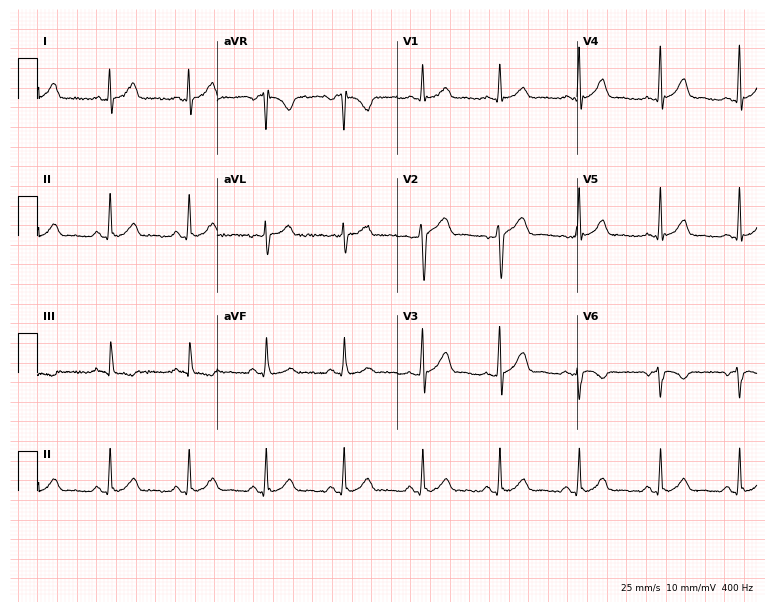
12-lead ECG from a man, 39 years old. Screened for six findings — first-degree AV block, right bundle branch block, left bundle branch block, sinus bradycardia, atrial fibrillation, sinus tachycardia — none is recorded. Only these six findings were labelled.